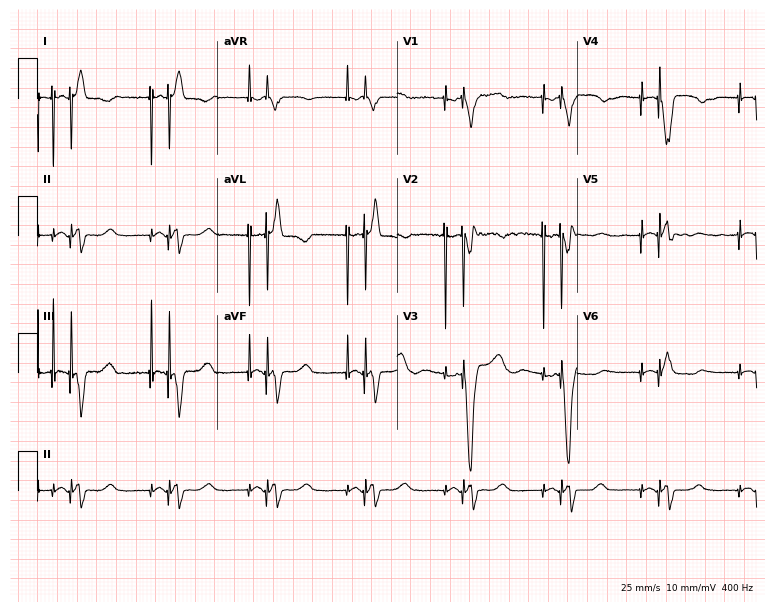
12-lead ECG from an 82-year-old female (7.3-second recording at 400 Hz). No first-degree AV block, right bundle branch block (RBBB), left bundle branch block (LBBB), sinus bradycardia, atrial fibrillation (AF) or sinus tachycardia recorded for this tracing. Other findings, if any, are not listed.